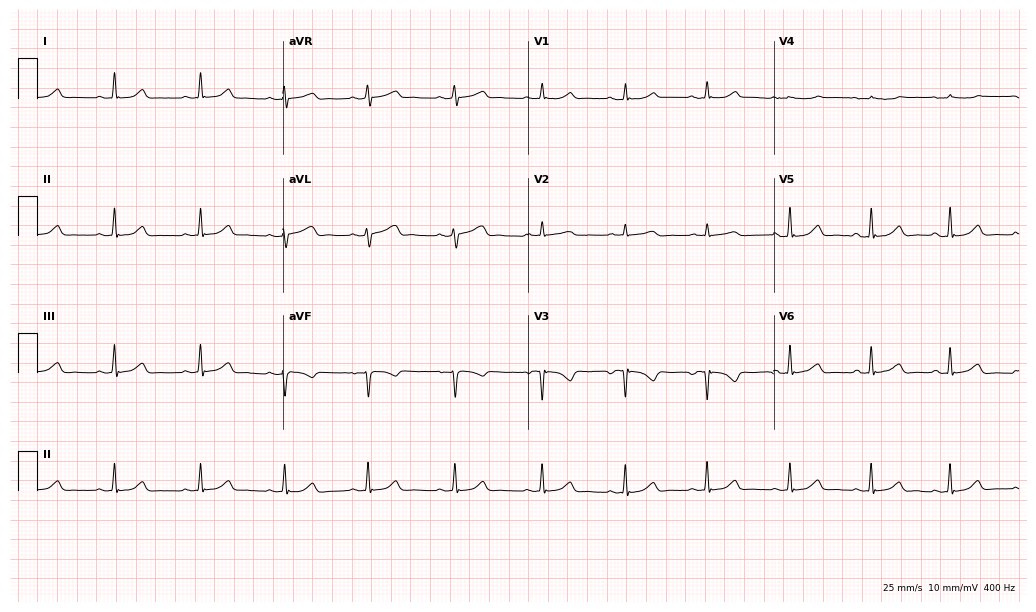
ECG — a 41-year-old female patient. Screened for six findings — first-degree AV block, right bundle branch block, left bundle branch block, sinus bradycardia, atrial fibrillation, sinus tachycardia — none is recorded.